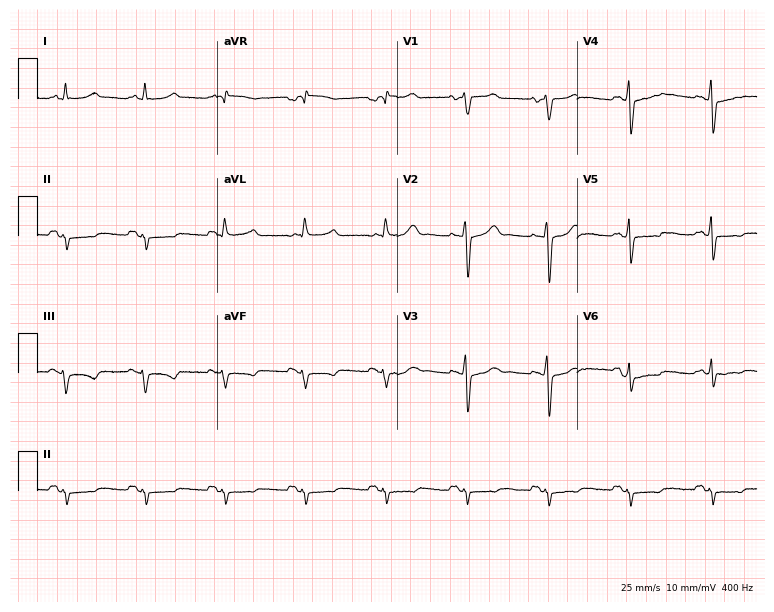
Standard 12-lead ECG recorded from a male, 82 years old. None of these six findings is recorded: first-degree AV block, right bundle branch block, left bundle branch block, sinus bradycardia, atrial fibrillation, sinus tachycardia.